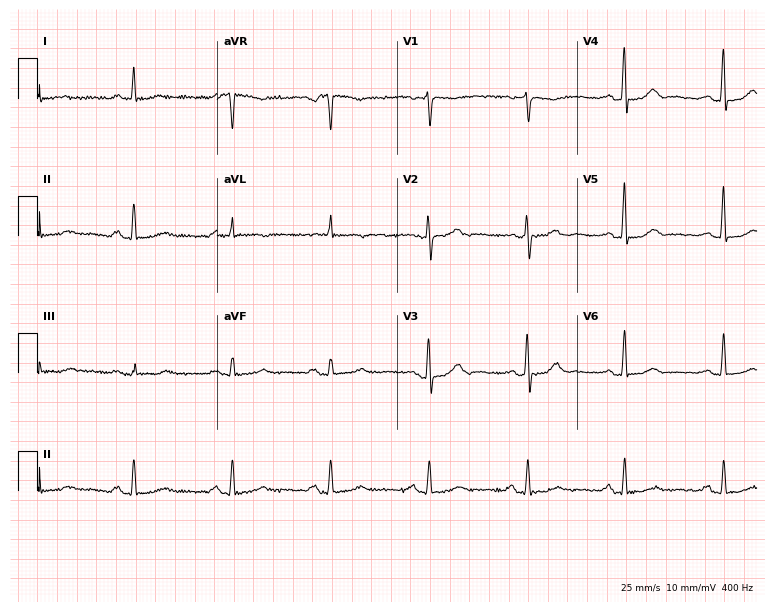
12-lead ECG from a 59-year-old woman. Recorded interpretation: within normal limits.